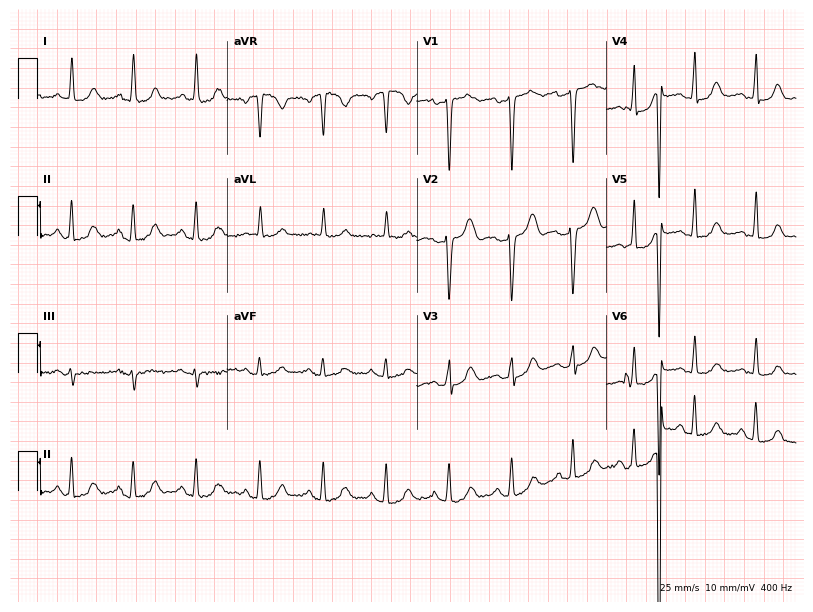
12-lead ECG from a 50-year-old woman. Screened for six findings — first-degree AV block, right bundle branch block, left bundle branch block, sinus bradycardia, atrial fibrillation, sinus tachycardia — none is recorded. Only these six findings were labelled.